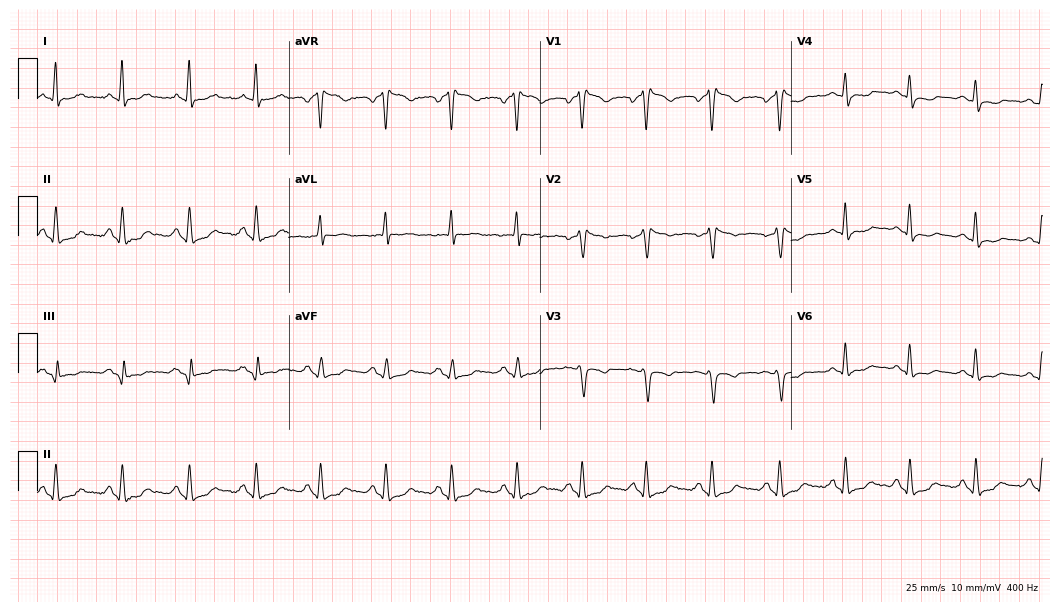
Resting 12-lead electrocardiogram (10.2-second recording at 400 Hz). Patient: a 44-year-old female. None of these six findings is recorded: first-degree AV block, right bundle branch block (RBBB), left bundle branch block (LBBB), sinus bradycardia, atrial fibrillation (AF), sinus tachycardia.